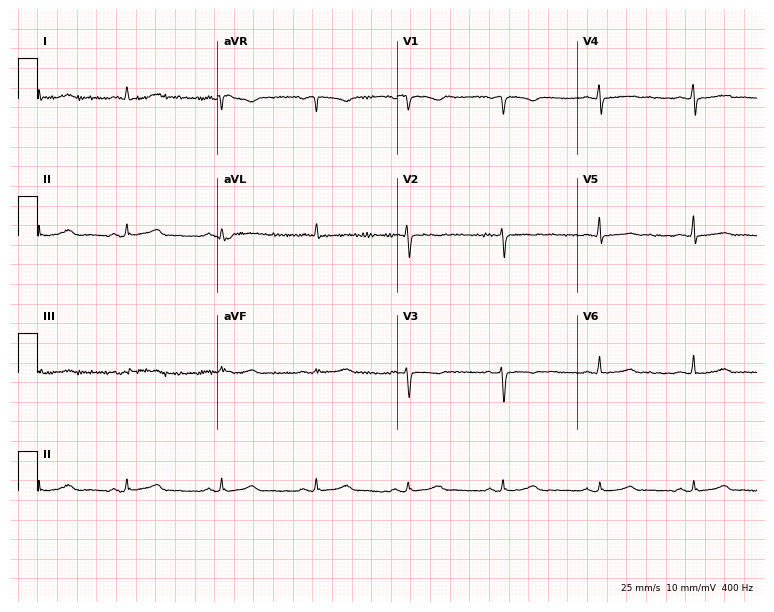
12-lead ECG from a 39-year-old female patient. Recorded interpretation: within normal limits.